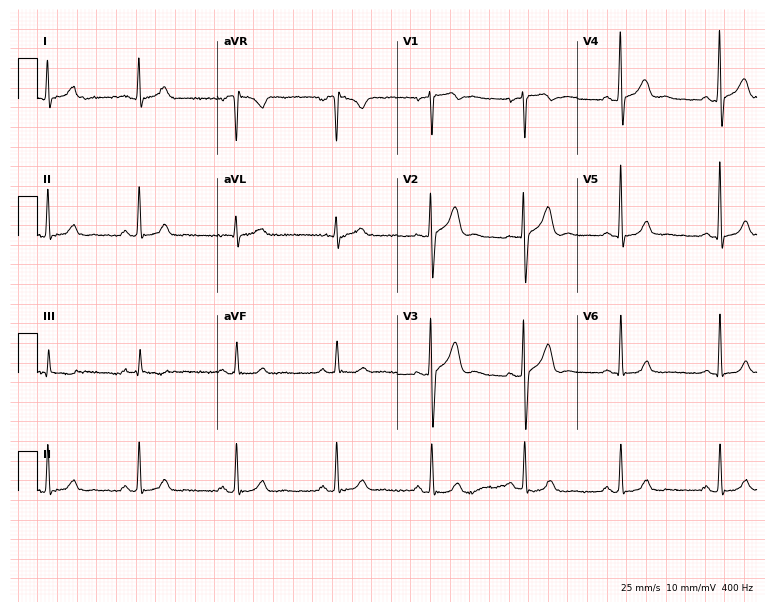
12-lead ECG from a 36-year-old male. Labelled as a normal ECG.